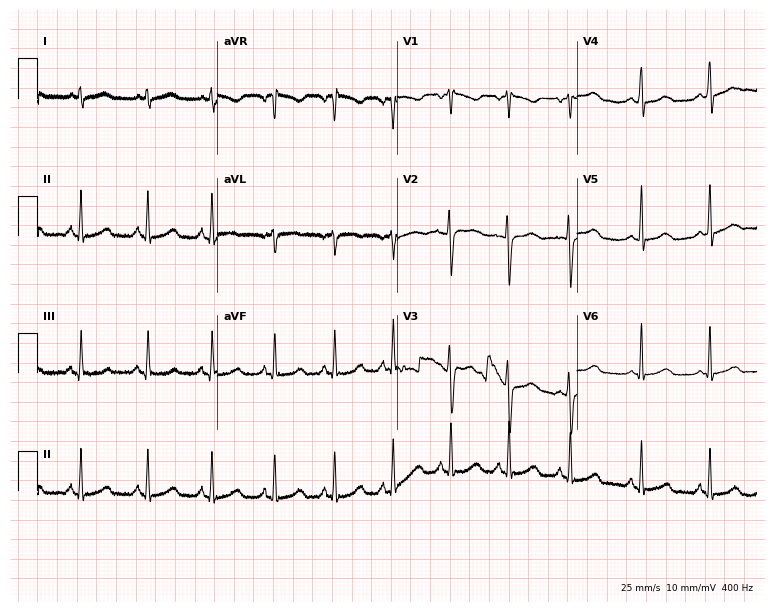
Electrocardiogram, a female, 18 years old. Overall reading on record: normal ECG.